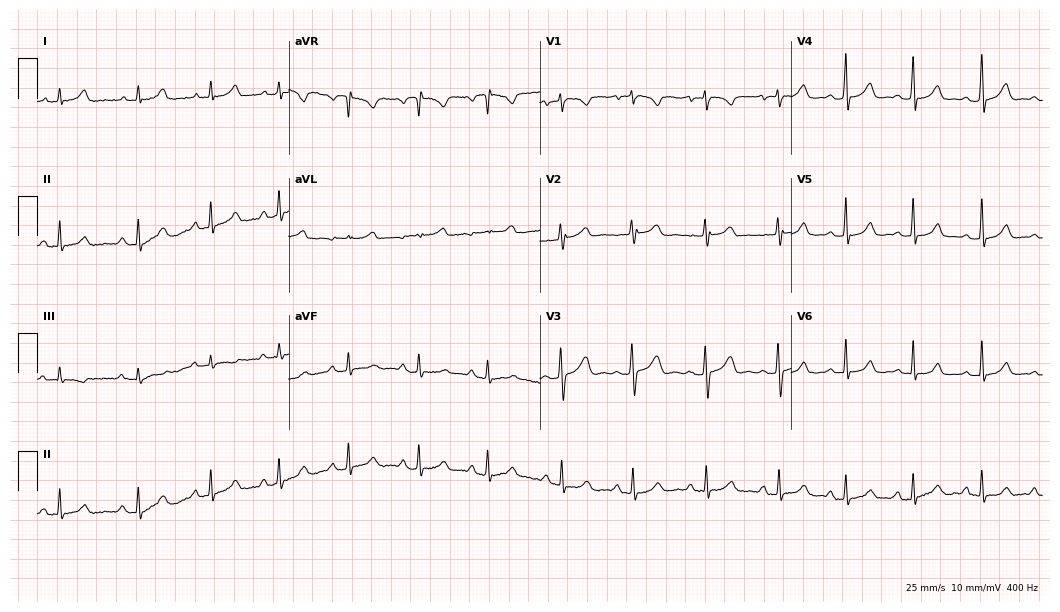
Standard 12-lead ECG recorded from a 23-year-old female (10.2-second recording at 400 Hz). Read as a normal ECG.